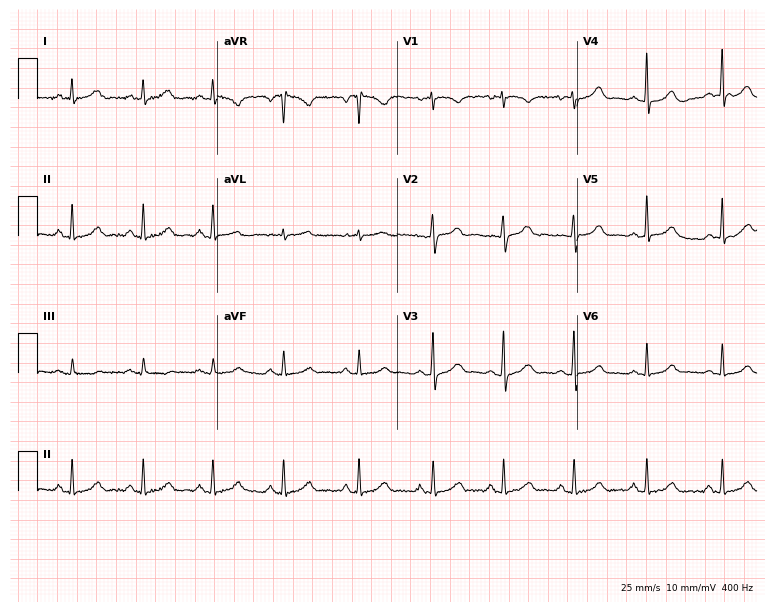
Standard 12-lead ECG recorded from a 26-year-old female patient (7.3-second recording at 400 Hz). Read as a normal ECG.